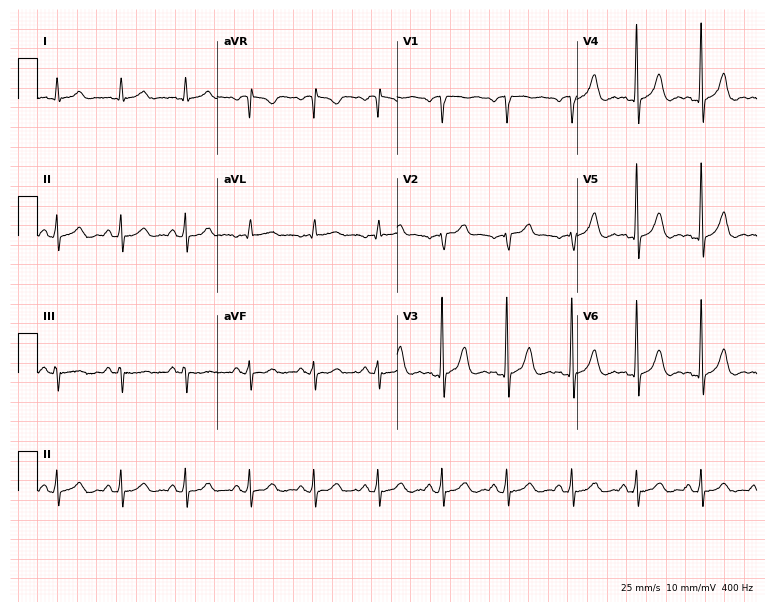
ECG — a male patient, 57 years old. Screened for six findings — first-degree AV block, right bundle branch block, left bundle branch block, sinus bradycardia, atrial fibrillation, sinus tachycardia — none is recorded.